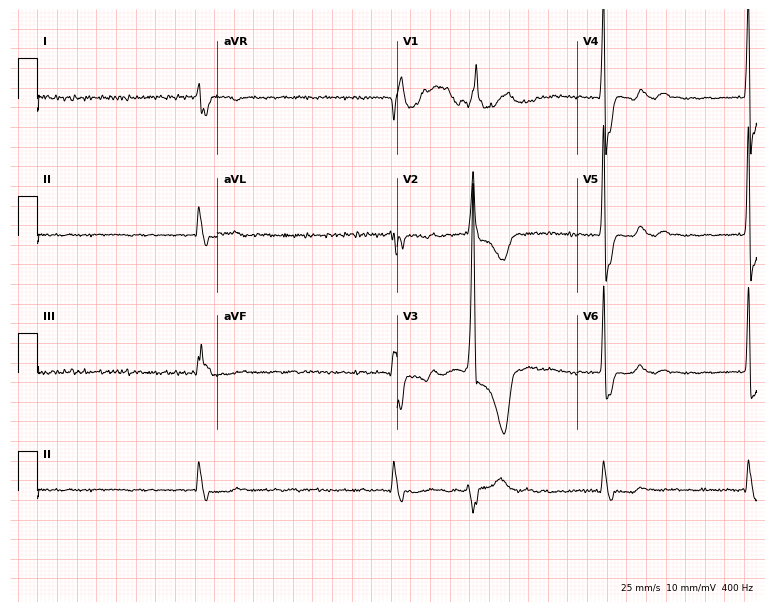
Electrocardiogram, an 84-year-old male. Of the six screened findings (first-degree AV block, right bundle branch block (RBBB), left bundle branch block (LBBB), sinus bradycardia, atrial fibrillation (AF), sinus tachycardia), none is recorded. Other findings, if any, are not listed.